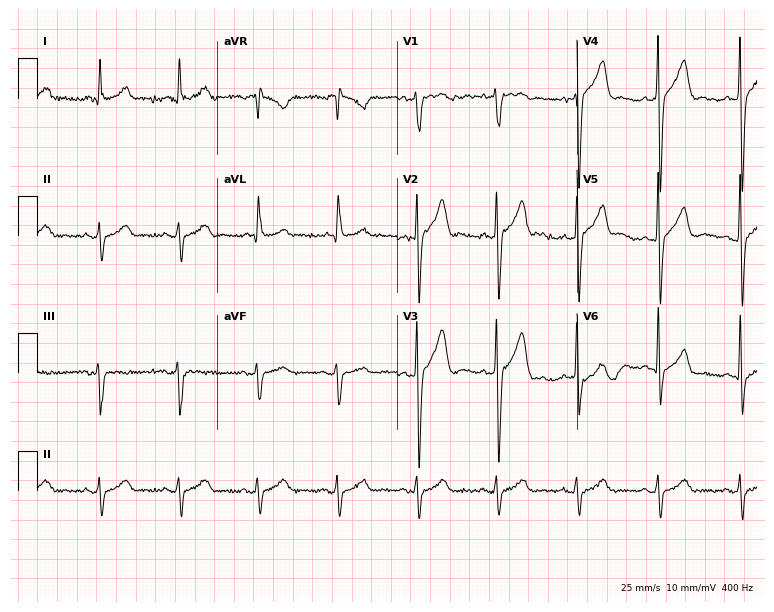
Resting 12-lead electrocardiogram. Patient: a 57-year-old male. None of these six findings is recorded: first-degree AV block, right bundle branch block (RBBB), left bundle branch block (LBBB), sinus bradycardia, atrial fibrillation (AF), sinus tachycardia. Other findings, if any, are not listed.